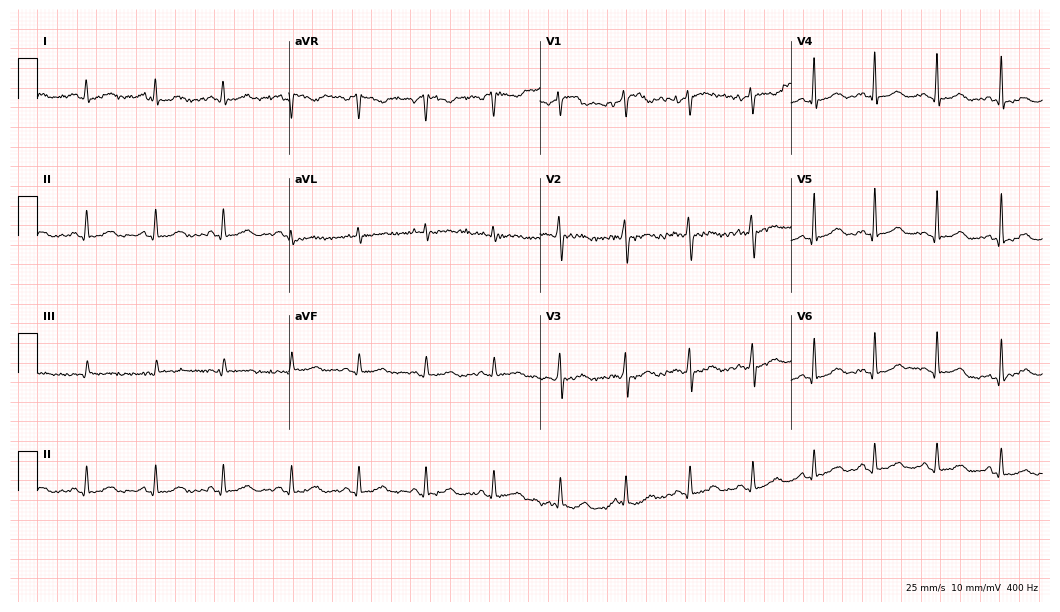
12-lead ECG from a 24-year-old woman (10.2-second recording at 400 Hz). Recorded interpretation: within normal limits.